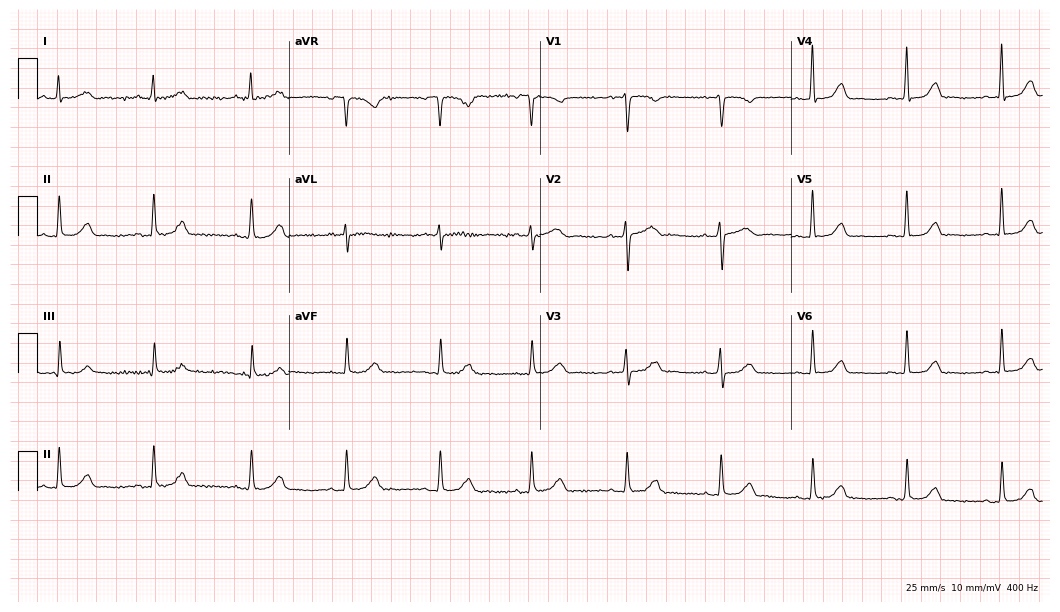
12-lead ECG from a female patient, 52 years old (10.2-second recording at 400 Hz). Recorded interpretation: within normal limits.